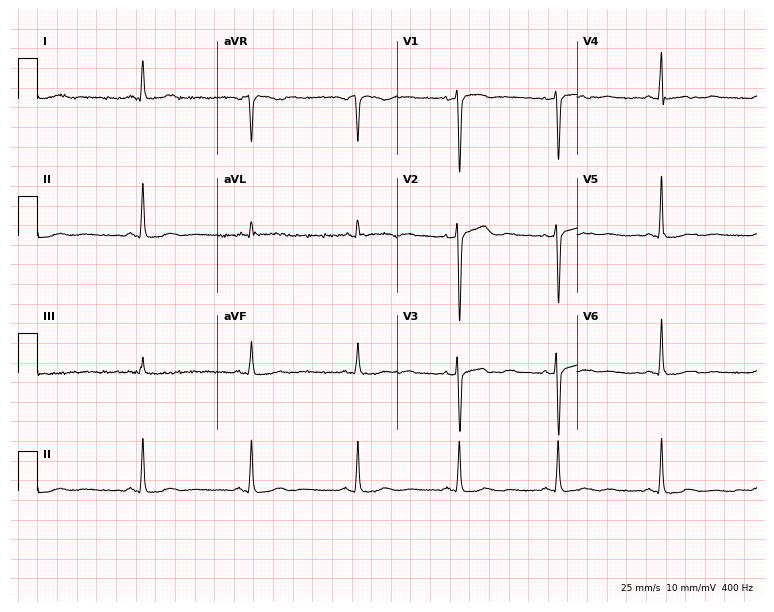
12-lead ECG (7.3-second recording at 400 Hz) from a 57-year-old female patient. Labelled as a normal ECG.